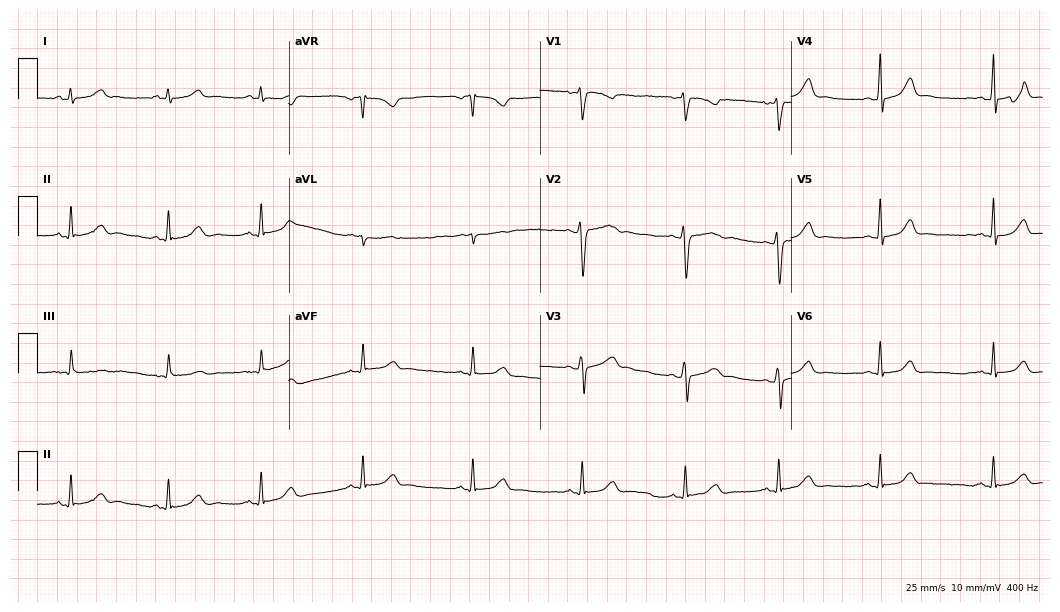
Standard 12-lead ECG recorded from a female, 31 years old. Read as a normal ECG.